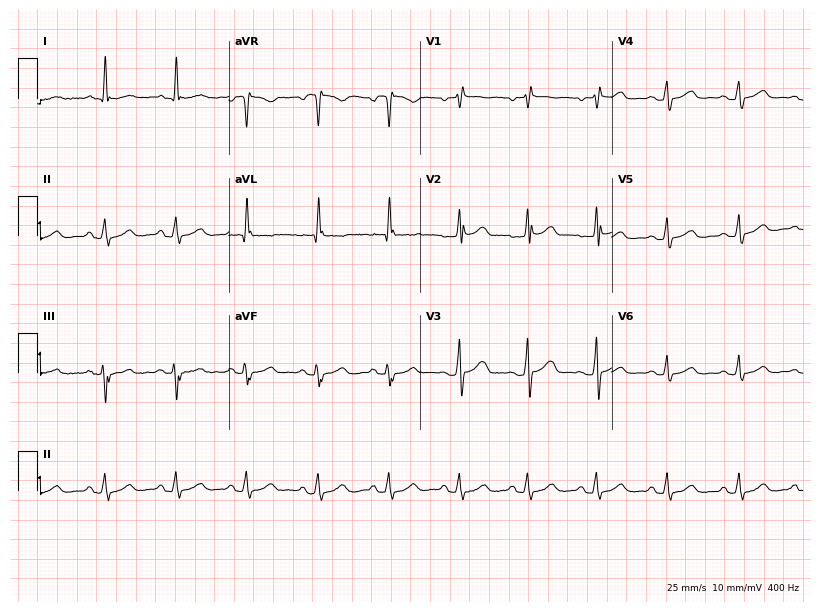
Electrocardiogram, a 48-year-old woman. Of the six screened findings (first-degree AV block, right bundle branch block (RBBB), left bundle branch block (LBBB), sinus bradycardia, atrial fibrillation (AF), sinus tachycardia), none is recorded.